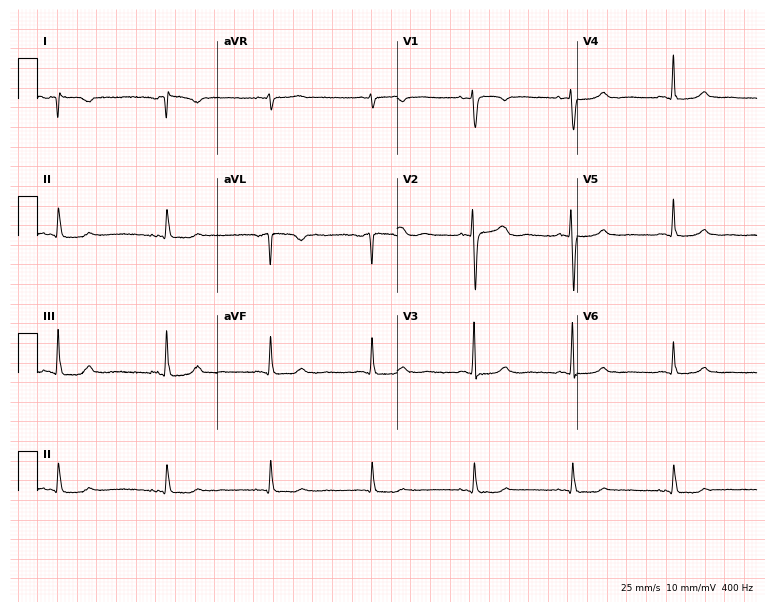
Resting 12-lead electrocardiogram (7.3-second recording at 400 Hz). Patient: a 61-year-old female. None of these six findings is recorded: first-degree AV block, right bundle branch block (RBBB), left bundle branch block (LBBB), sinus bradycardia, atrial fibrillation (AF), sinus tachycardia. Only these six findings were labelled.